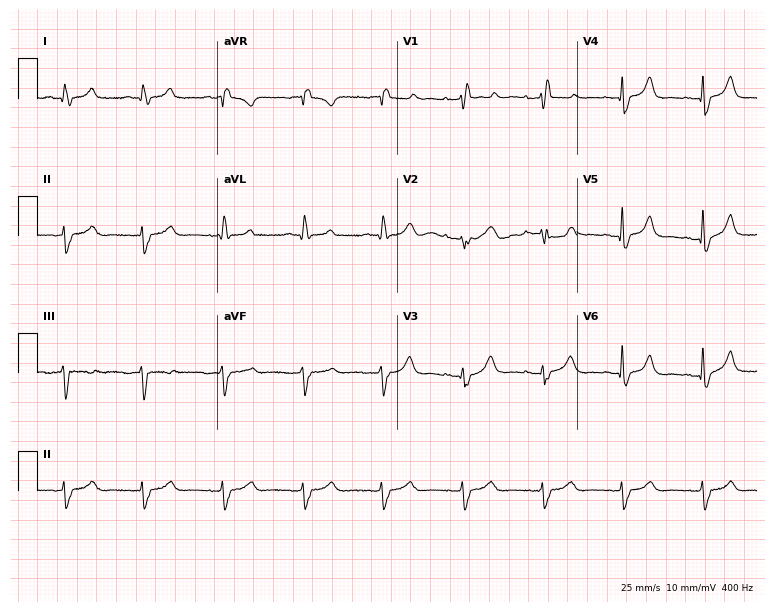
Standard 12-lead ECG recorded from a male patient, 70 years old. The tracing shows right bundle branch block.